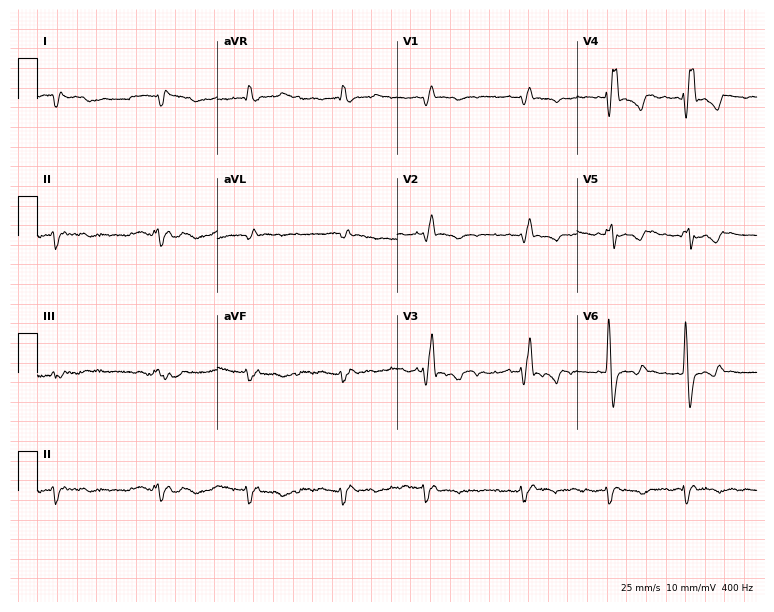
Electrocardiogram (7.3-second recording at 400 Hz), a 65-year-old male. Of the six screened findings (first-degree AV block, right bundle branch block, left bundle branch block, sinus bradycardia, atrial fibrillation, sinus tachycardia), none is recorded. Findings outside these six are not listed.